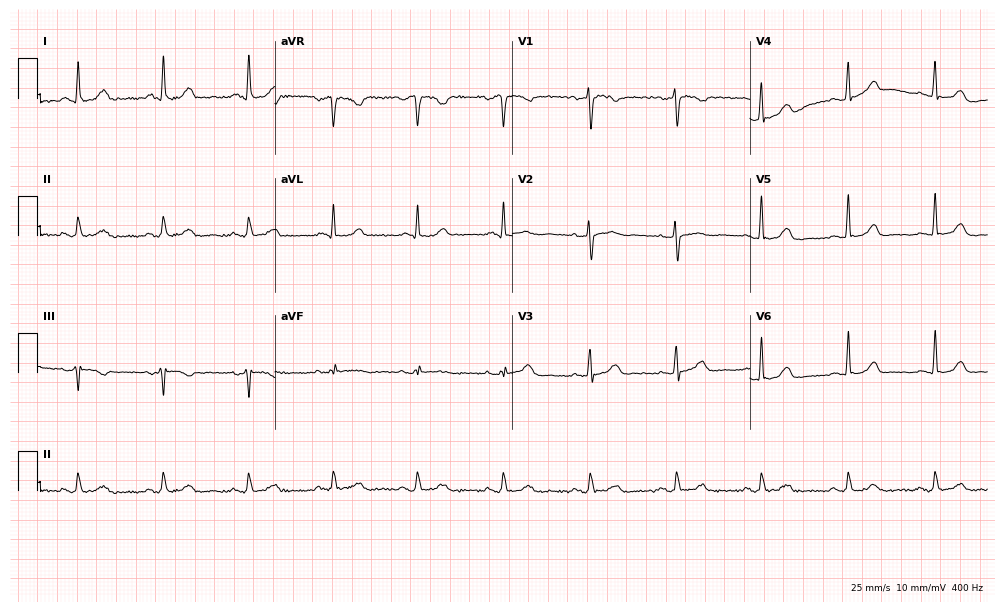
12-lead ECG from a male patient, 54 years old. Recorded interpretation: within normal limits.